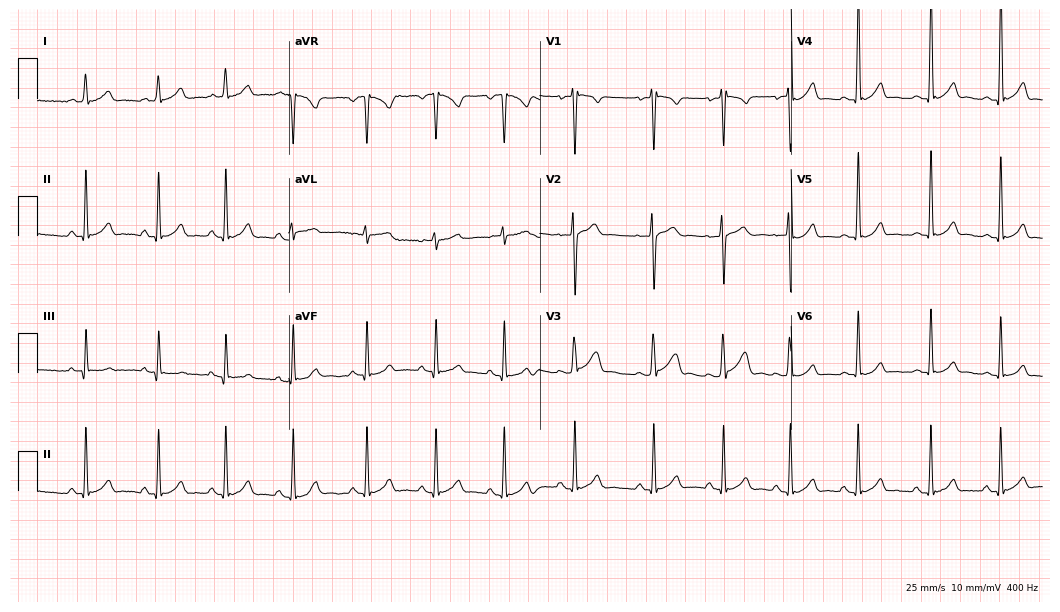
Resting 12-lead electrocardiogram (10.2-second recording at 400 Hz). Patient: an 18-year-old male. None of these six findings is recorded: first-degree AV block, right bundle branch block, left bundle branch block, sinus bradycardia, atrial fibrillation, sinus tachycardia. Only these six findings were labelled.